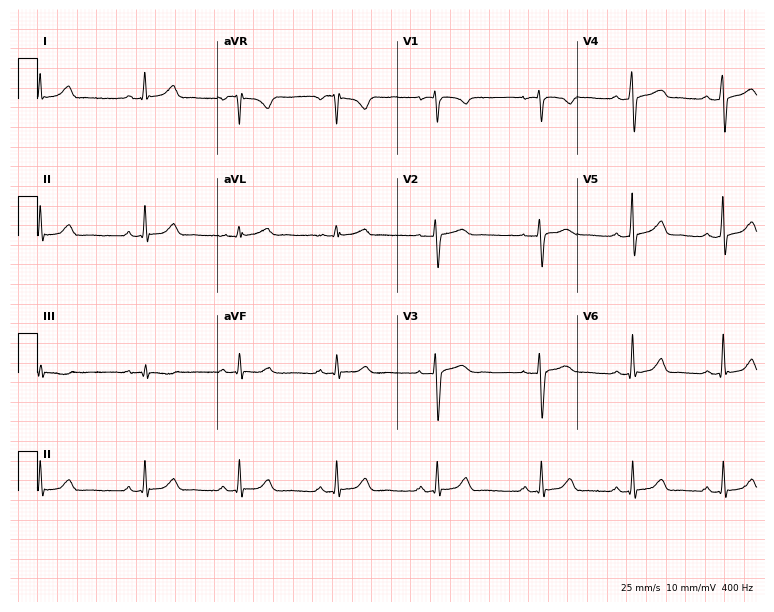
12-lead ECG from a female, 32 years old. Recorded interpretation: within normal limits.